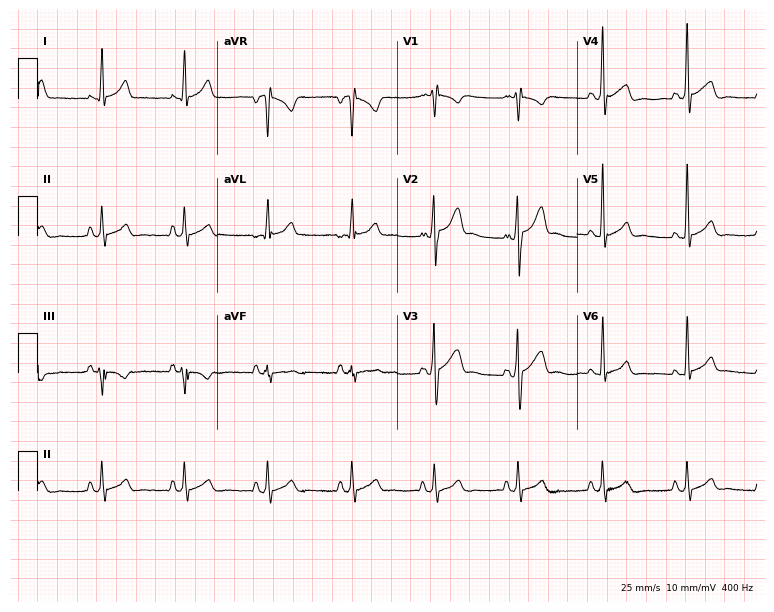
ECG — a 20-year-old male. Labelled as a normal ECG.